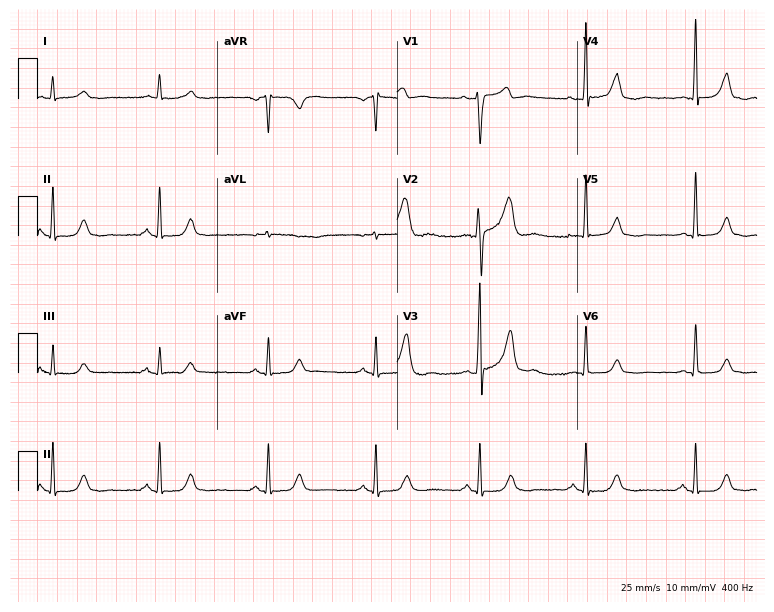
12-lead ECG (7.3-second recording at 400 Hz) from a 62-year-old male. Labelled as a normal ECG.